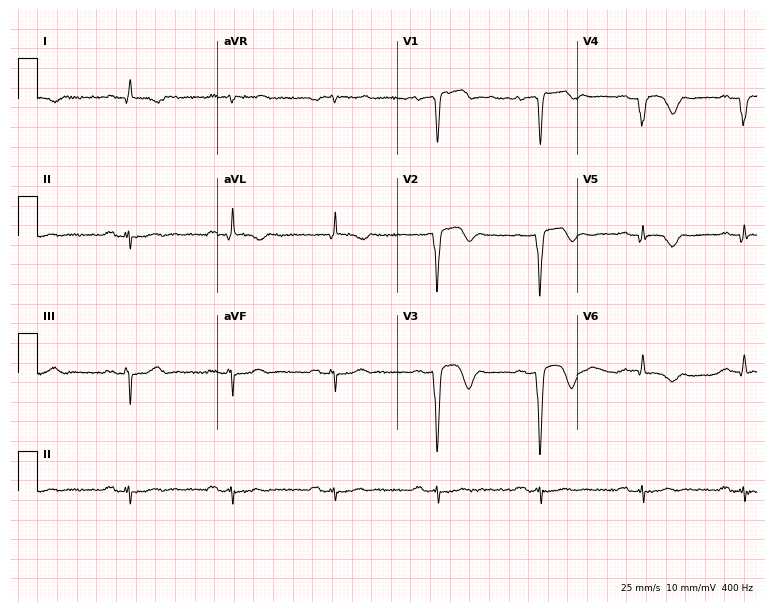
ECG — a 72-year-old male. Screened for six findings — first-degree AV block, right bundle branch block (RBBB), left bundle branch block (LBBB), sinus bradycardia, atrial fibrillation (AF), sinus tachycardia — none is recorded. Other findings, if any, are not listed.